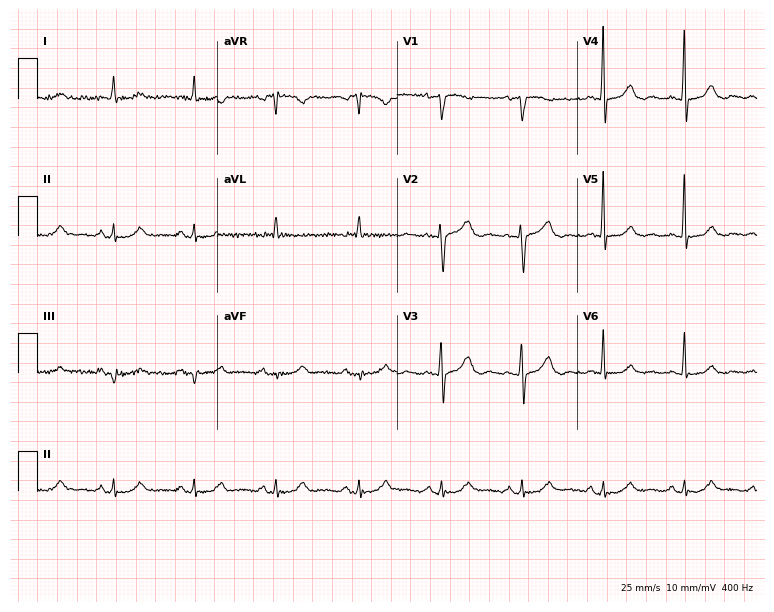
ECG (7.3-second recording at 400 Hz) — a female patient, 65 years old. Screened for six findings — first-degree AV block, right bundle branch block, left bundle branch block, sinus bradycardia, atrial fibrillation, sinus tachycardia — none is recorded.